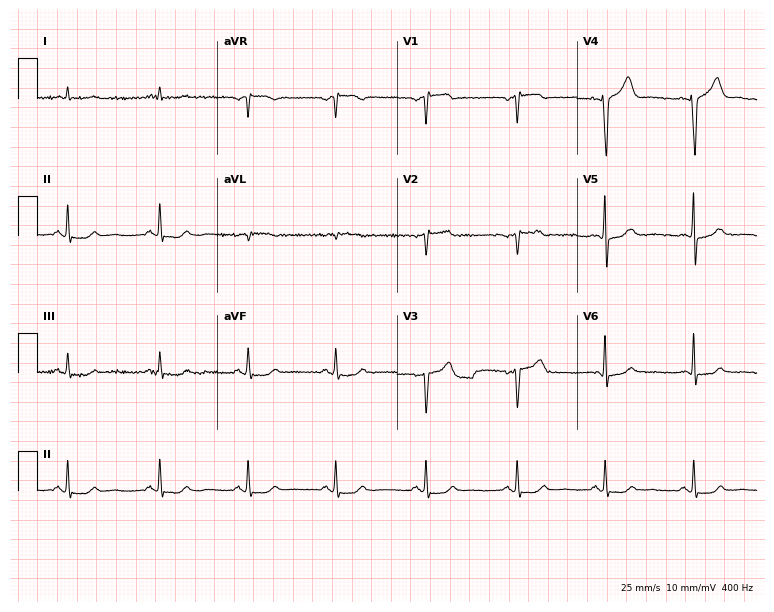
12-lead ECG from a man, 52 years old (7.3-second recording at 400 Hz). No first-degree AV block, right bundle branch block, left bundle branch block, sinus bradycardia, atrial fibrillation or sinus tachycardia recorded for this tracing. Findings outside these six are not listed.